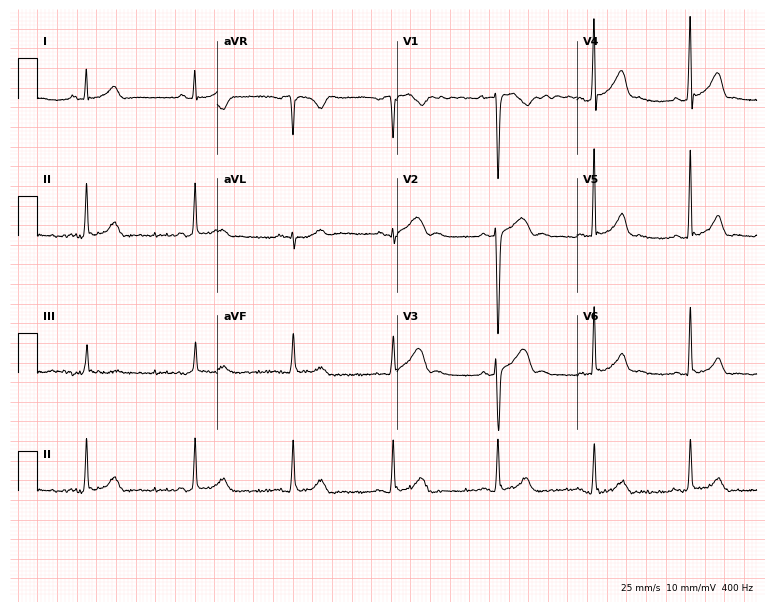
12-lead ECG from a male, 29 years old (7.3-second recording at 400 Hz). Recorded interpretation: within normal limits.